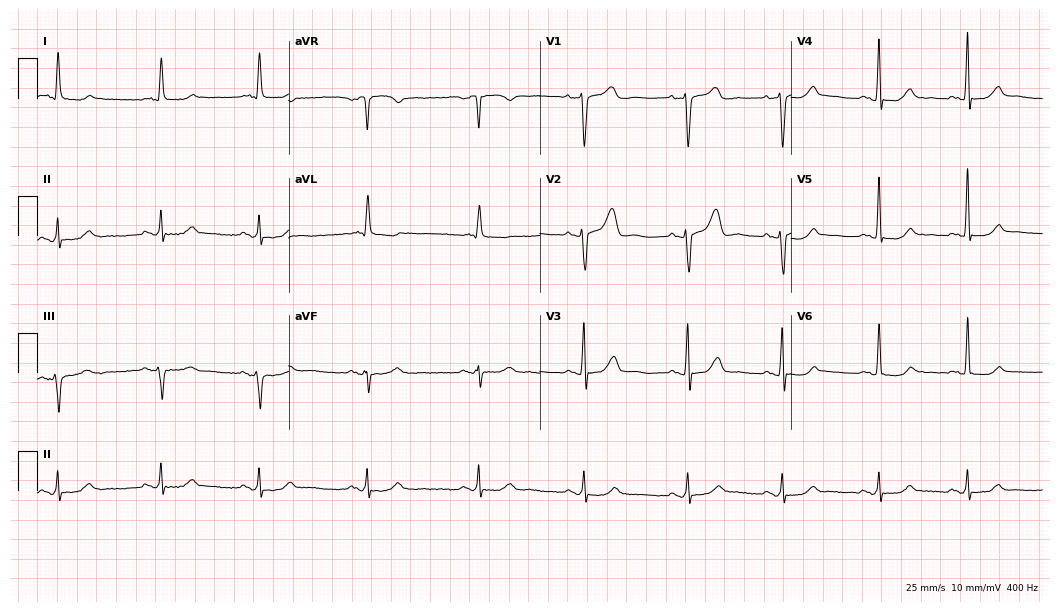
Electrocardiogram (10.2-second recording at 400 Hz), a 79-year-old female patient. Overall reading on record: normal ECG.